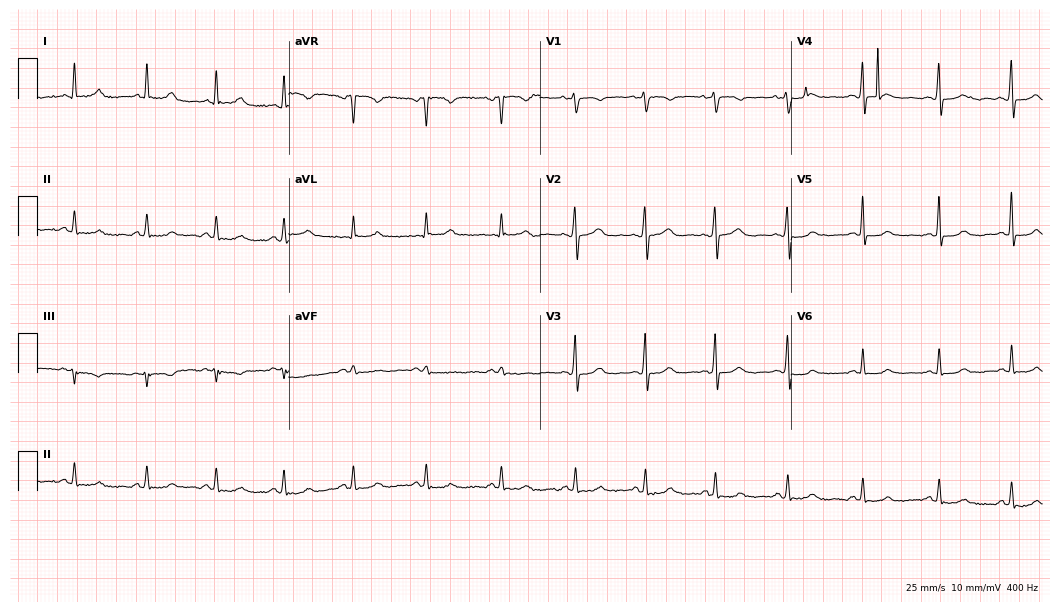
Electrocardiogram (10.2-second recording at 400 Hz), a female, 56 years old. Of the six screened findings (first-degree AV block, right bundle branch block, left bundle branch block, sinus bradycardia, atrial fibrillation, sinus tachycardia), none is recorded. Findings outside these six are not listed.